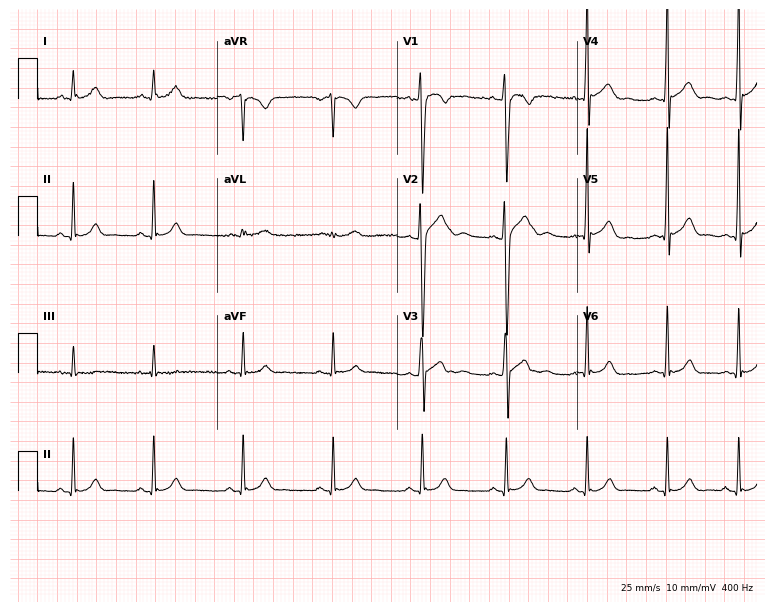
Standard 12-lead ECG recorded from a male patient, 17 years old (7.3-second recording at 400 Hz). None of these six findings is recorded: first-degree AV block, right bundle branch block, left bundle branch block, sinus bradycardia, atrial fibrillation, sinus tachycardia.